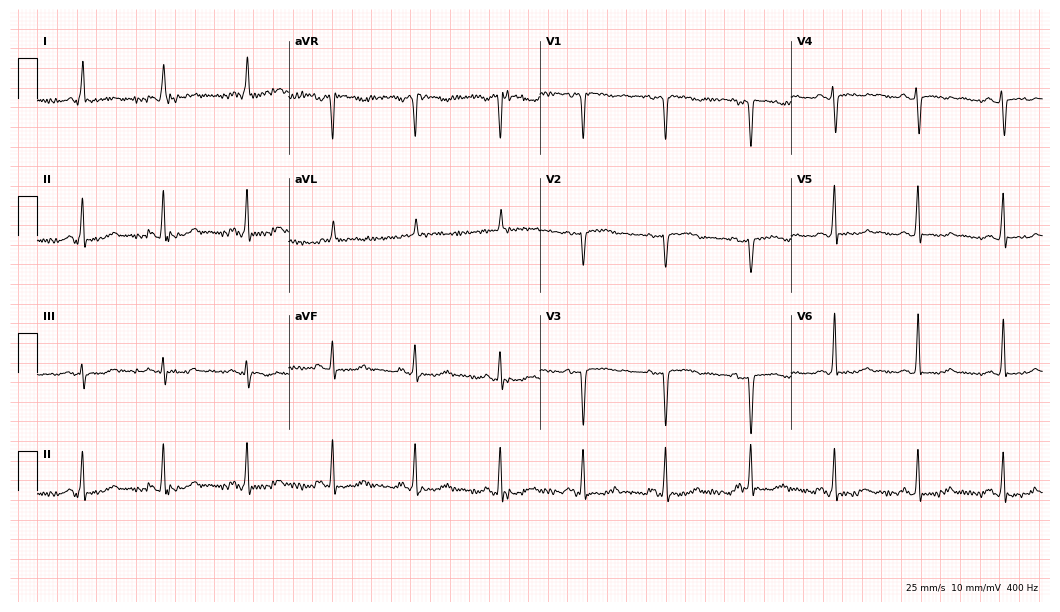
Resting 12-lead electrocardiogram (10.2-second recording at 400 Hz). Patient: a woman, 60 years old. None of these six findings is recorded: first-degree AV block, right bundle branch block, left bundle branch block, sinus bradycardia, atrial fibrillation, sinus tachycardia.